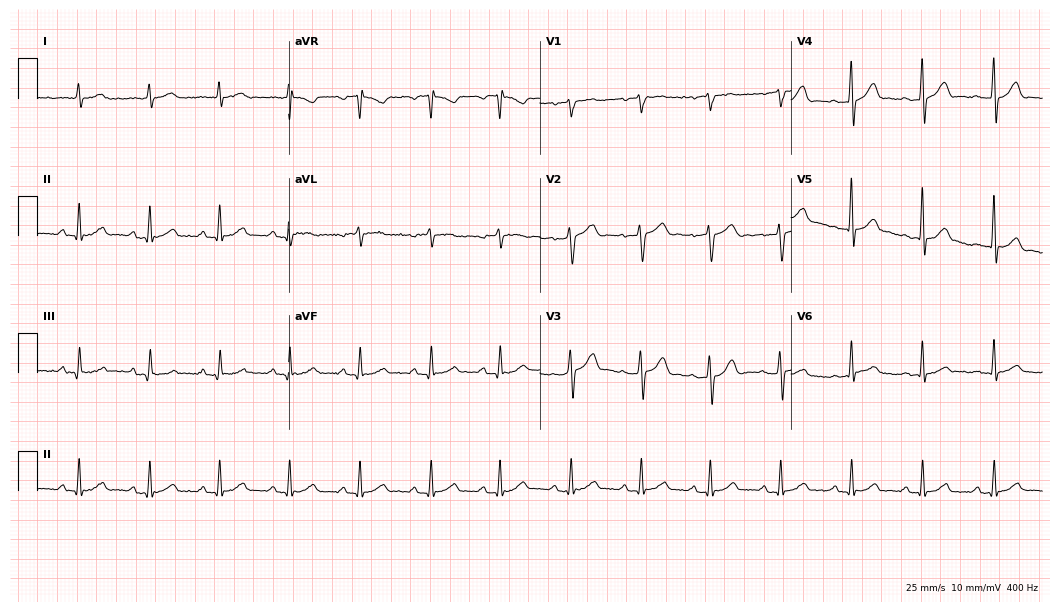
ECG (10.2-second recording at 400 Hz) — a 53-year-old male patient. Labelled as a normal ECG.